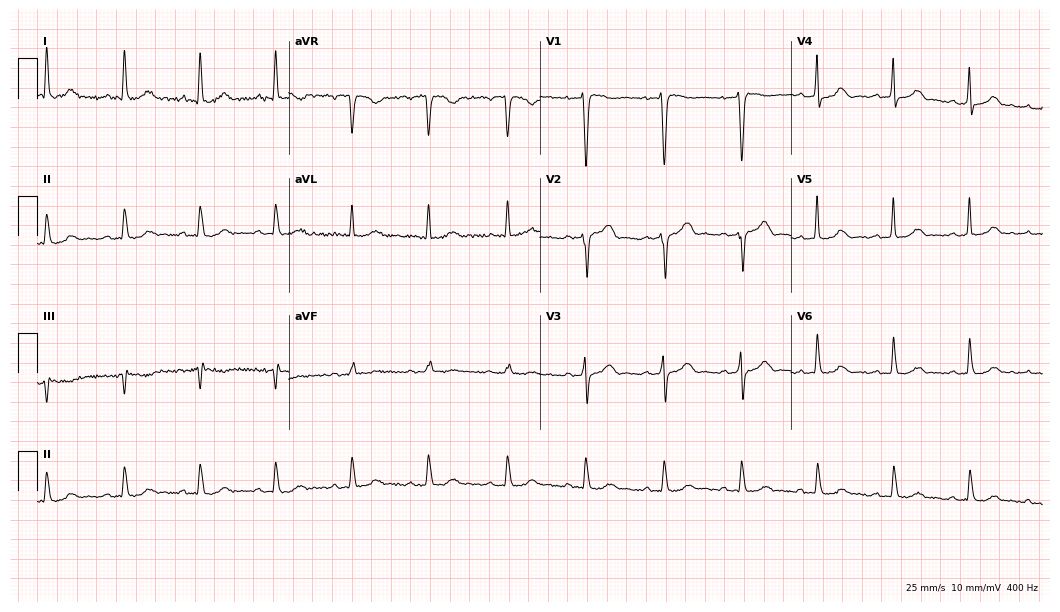
ECG — a male, 72 years old. Labelled as a normal ECG.